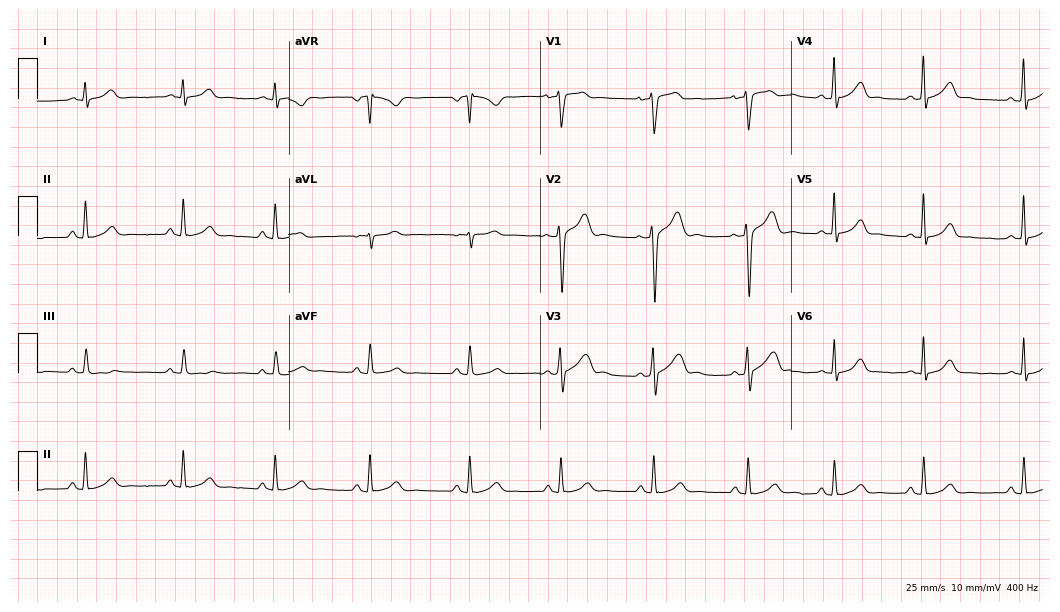
Resting 12-lead electrocardiogram. Patient: a 31-year-old man. Read as a normal ECG.